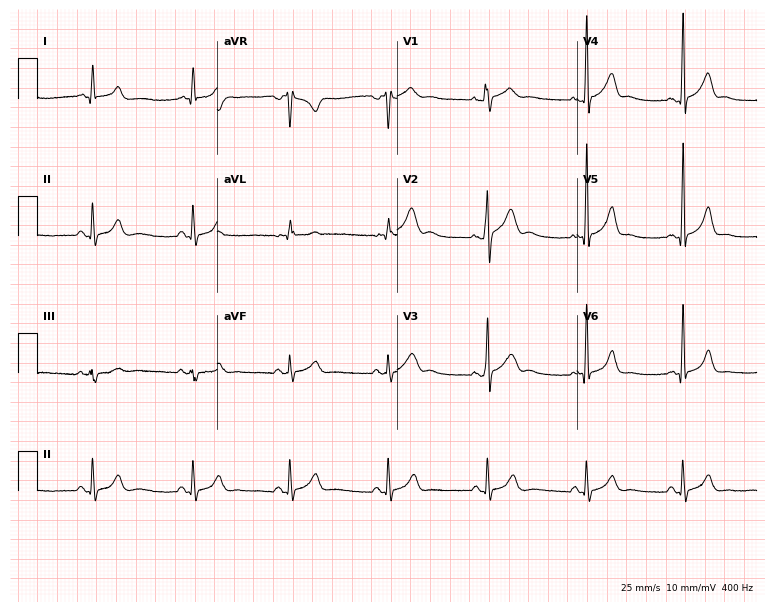
ECG — a 40-year-old man. Labelled as a normal ECG.